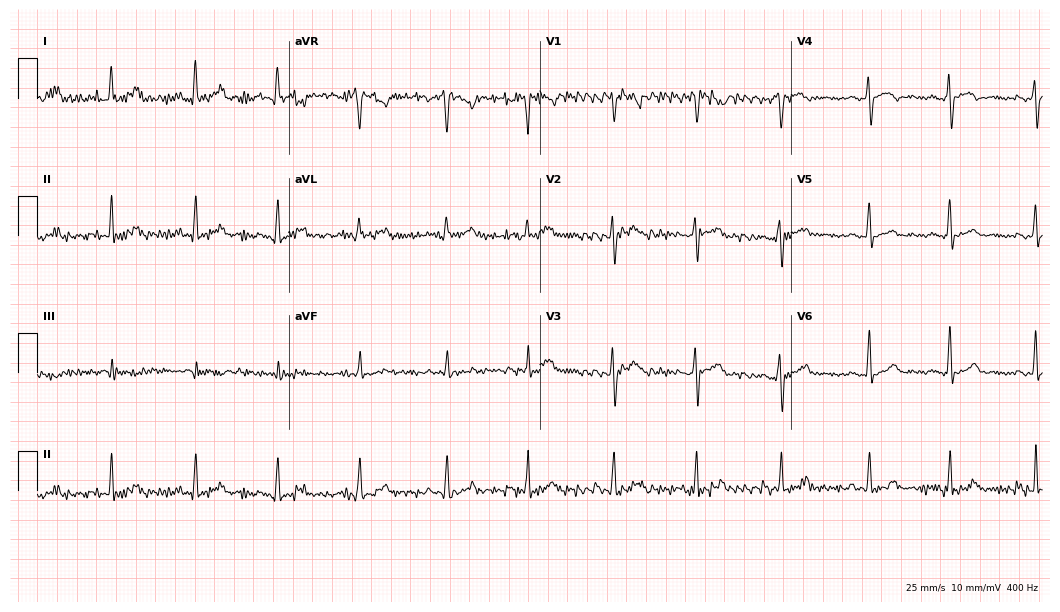
Electrocardiogram, a female, 33 years old. Overall reading on record: normal ECG.